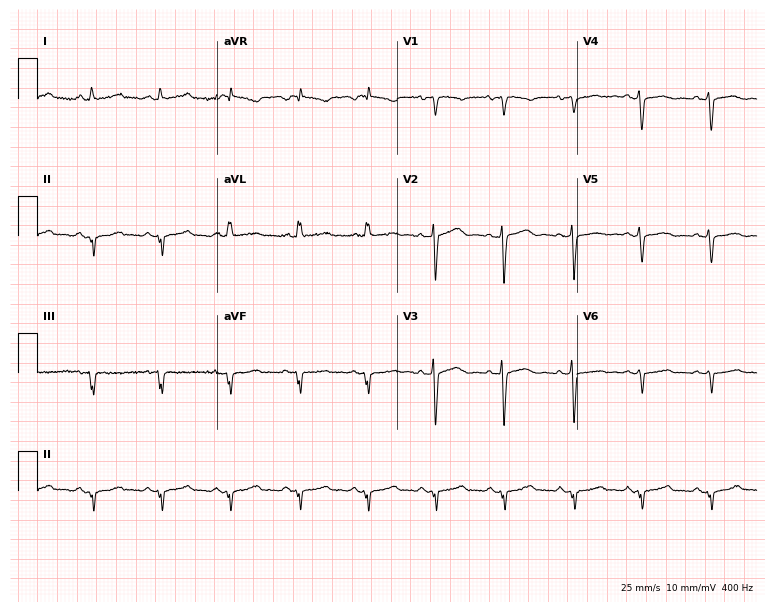
ECG — a 38-year-old female. Screened for six findings — first-degree AV block, right bundle branch block (RBBB), left bundle branch block (LBBB), sinus bradycardia, atrial fibrillation (AF), sinus tachycardia — none is recorded.